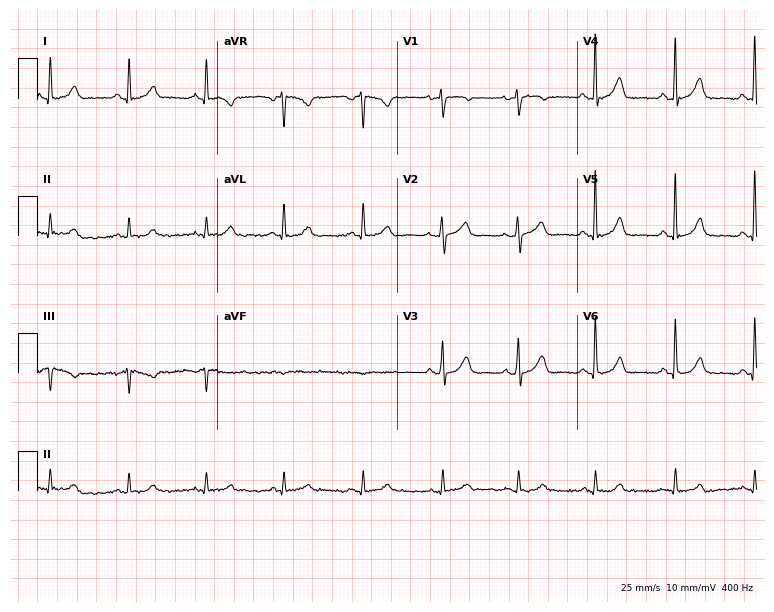
ECG (7.3-second recording at 400 Hz) — a female patient, 50 years old. Screened for six findings — first-degree AV block, right bundle branch block, left bundle branch block, sinus bradycardia, atrial fibrillation, sinus tachycardia — none is recorded.